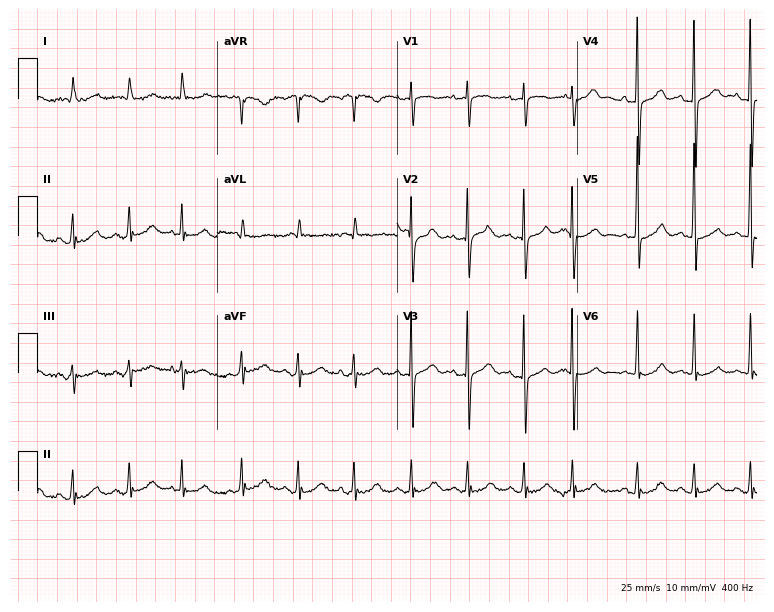
12-lead ECG from a man, 88 years old. Shows sinus tachycardia (a sinus rate of 100 beats per minute or more).